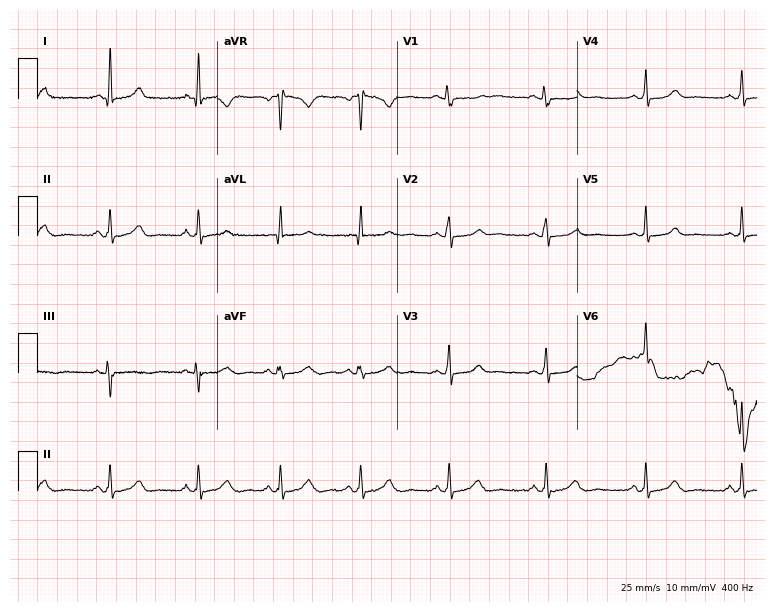
12-lead ECG (7.3-second recording at 400 Hz) from a female patient, 39 years old. Labelled as a normal ECG.